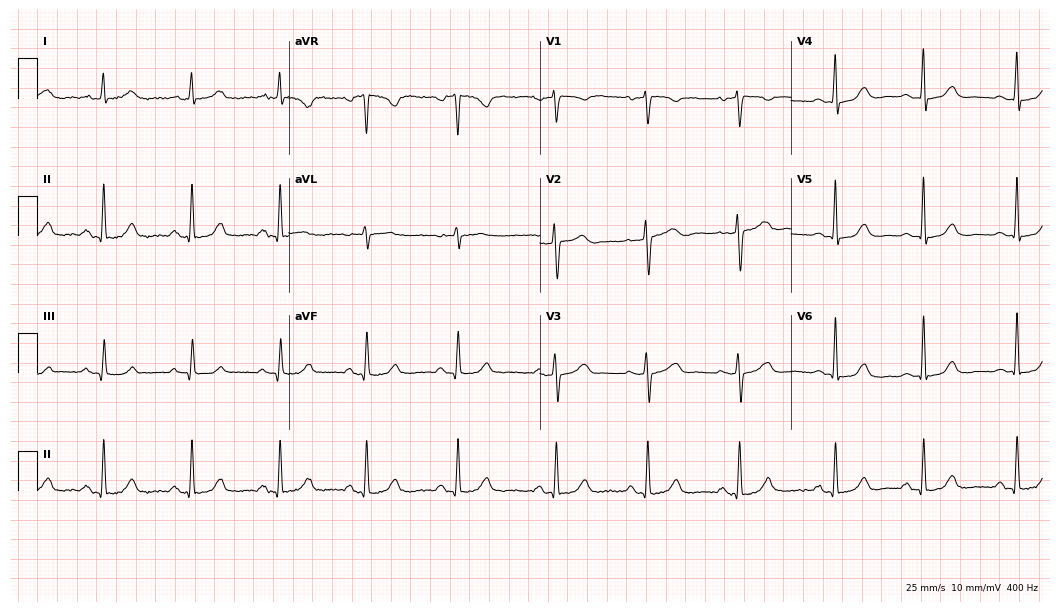
Resting 12-lead electrocardiogram. Patient: a female, 44 years old. Read as a normal ECG.